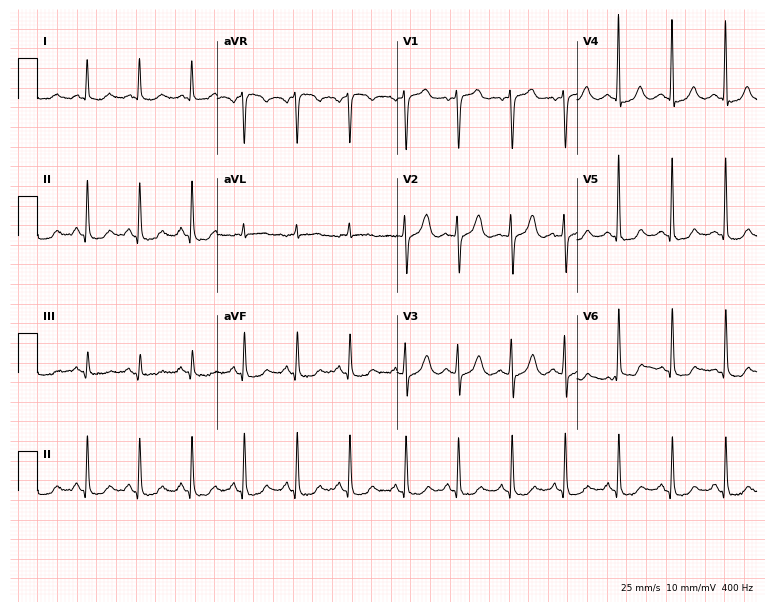
Resting 12-lead electrocardiogram (7.3-second recording at 400 Hz). Patient: a female, 73 years old. None of these six findings is recorded: first-degree AV block, right bundle branch block, left bundle branch block, sinus bradycardia, atrial fibrillation, sinus tachycardia. Other findings, if any, are not listed.